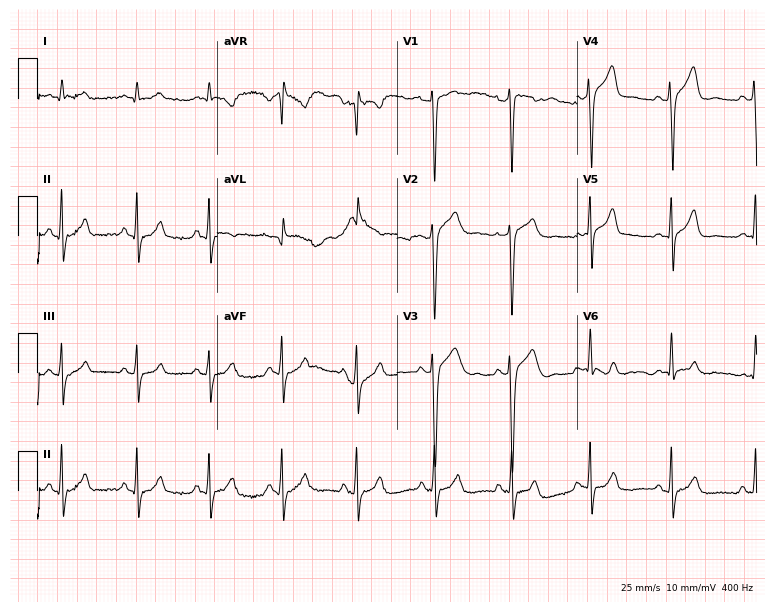
Standard 12-lead ECG recorded from a male patient, 29 years old (7.3-second recording at 400 Hz). Read as a normal ECG.